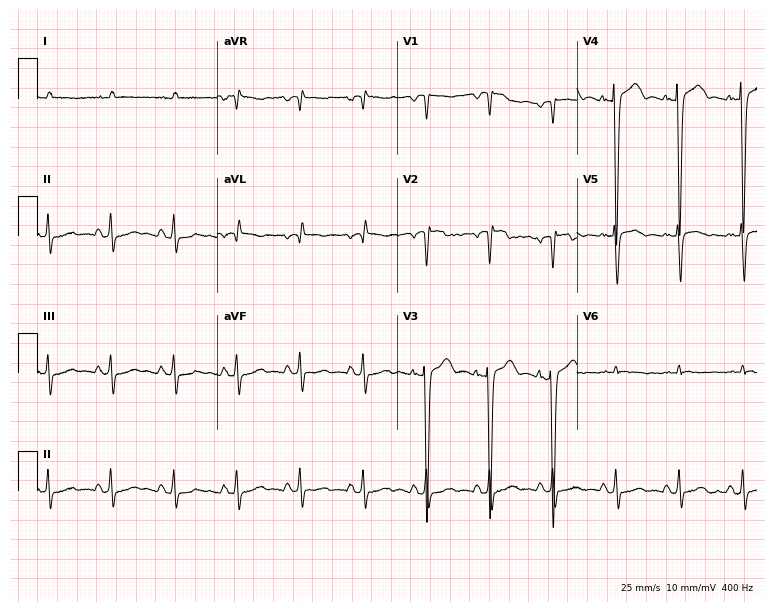
Standard 12-lead ECG recorded from a 58-year-old man (7.3-second recording at 400 Hz). None of these six findings is recorded: first-degree AV block, right bundle branch block, left bundle branch block, sinus bradycardia, atrial fibrillation, sinus tachycardia.